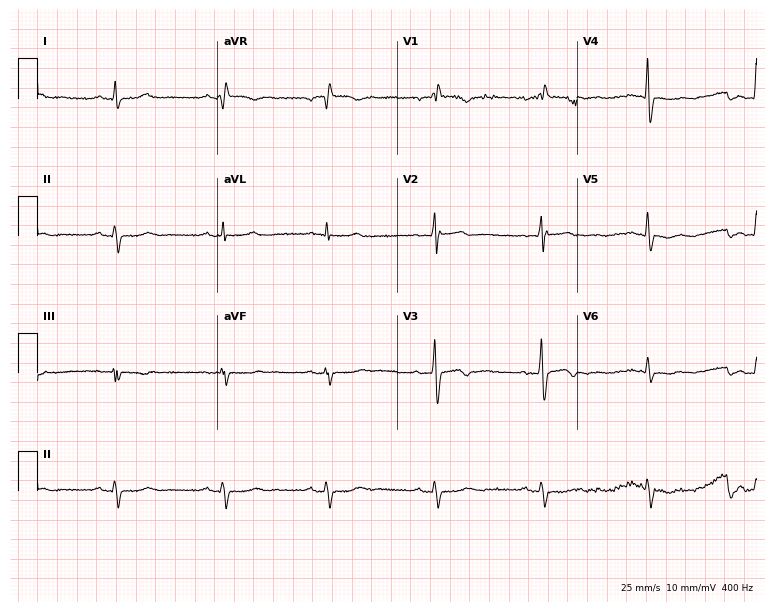
12-lead ECG (7.3-second recording at 400 Hz) from a female, 64 years old. Screened for six findings — first-degree AV block, right bundle branch block, left bundle branch block, sinus bradycardia, atrial fibrillation, sinus tachycardia — none is recorded. Other findings, if any, are not listed.